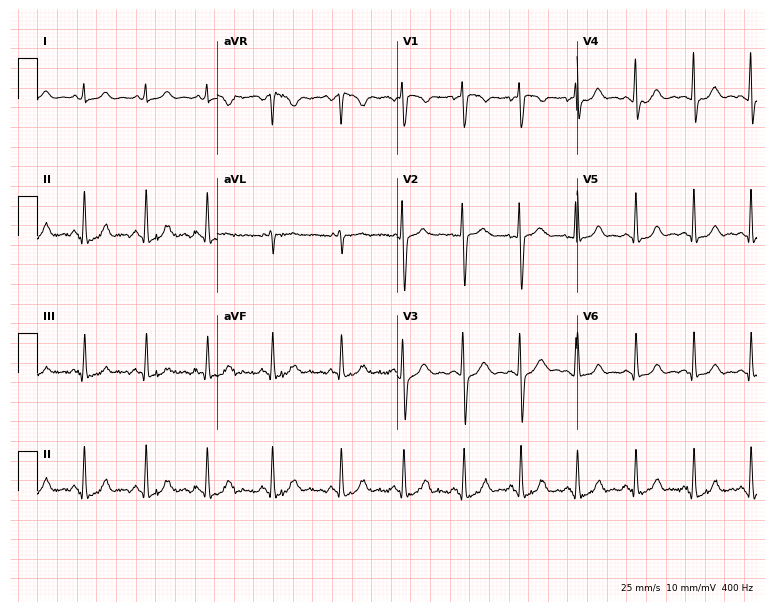
12-lead ECG from an 18-year-old female patient. Recorded interpretation: within normal limits.